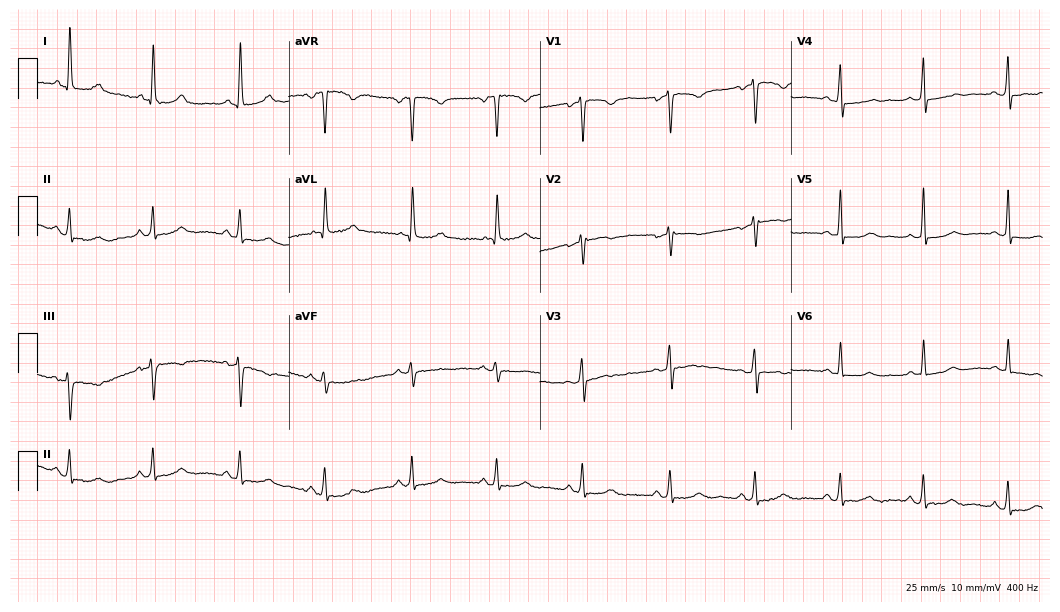
ECG — a 45-year-old female. Labelled as a normal ECG.